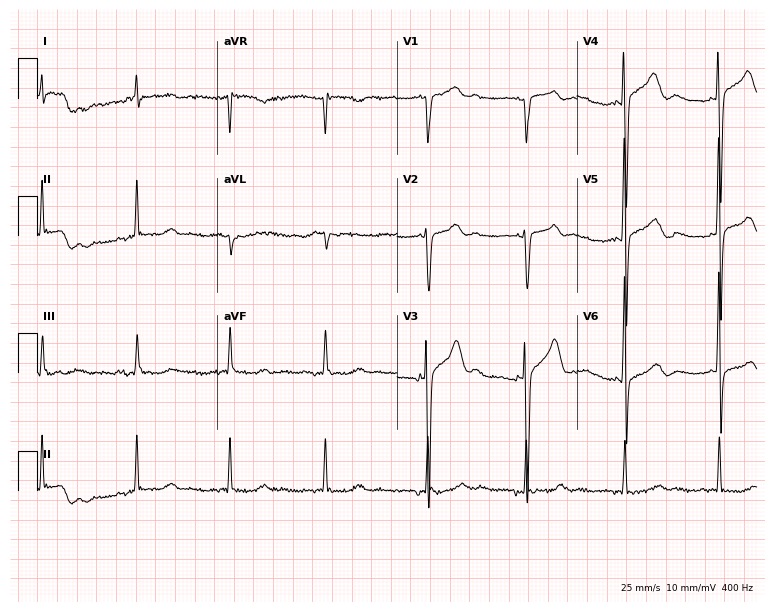
ECG (7.3-second recording at 400 Hz) — an 81-year-old male. Labelled as a normal ECG.